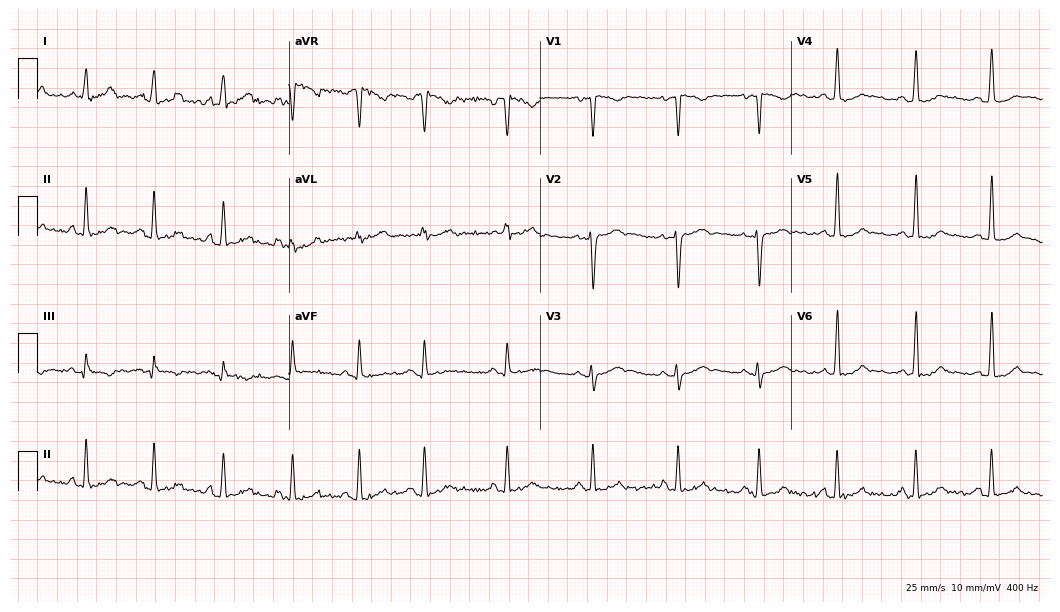
12-lead ECG (10.2-second recording at 400 Hz) from a 24-year-old woman. Screened for six findings — first-degree AV block, right bundle branch block, left bundle branch block, sinus bradycardia, atrial fibrillation, sinus tachycardia — none is recorded. Findings outside these six are not listed.